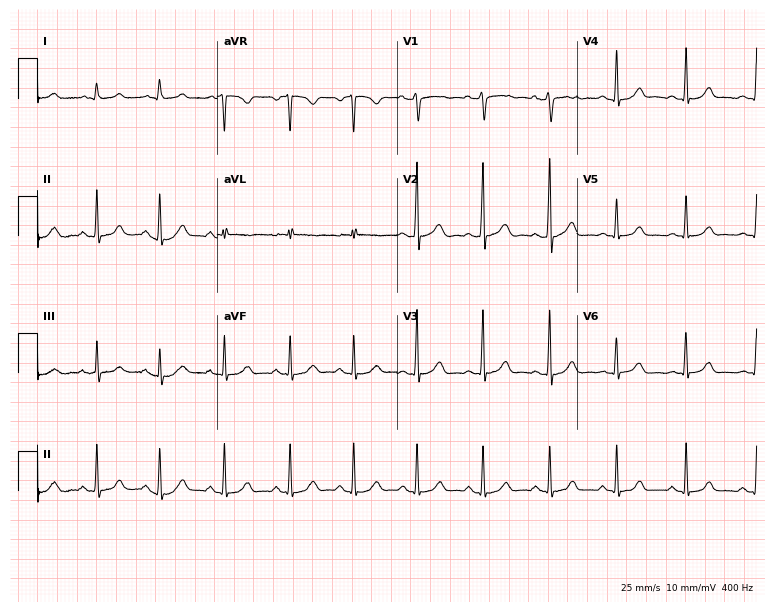
ECG — a 23-year-old female. Screened for six findings — first-degree AV block, right bundle branch block (RBBB), left bundle branch block (LBBB), sinus bradycardia, atrial fibrillation (AF), sinus tachycardia — none is recorded. Other findings, if any, are not listed.